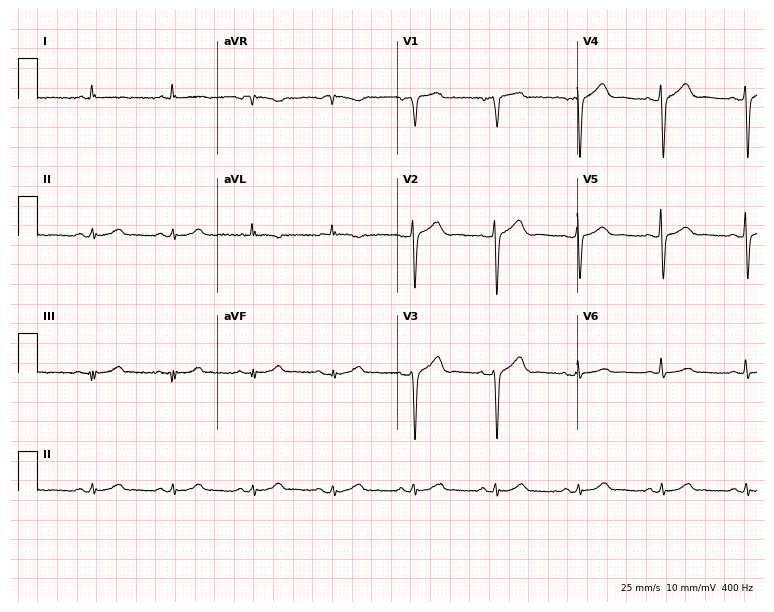
ECG (7.3-second recording at 400 Hz) — a male patient, 59 years old. Screened for six findings — first-degree AV block, right bundle branch block, left bundle branch block, sinus bradycardia, atrial fibrillation, sinus tachycardia — none is recorded. Only these six findings were labelled.